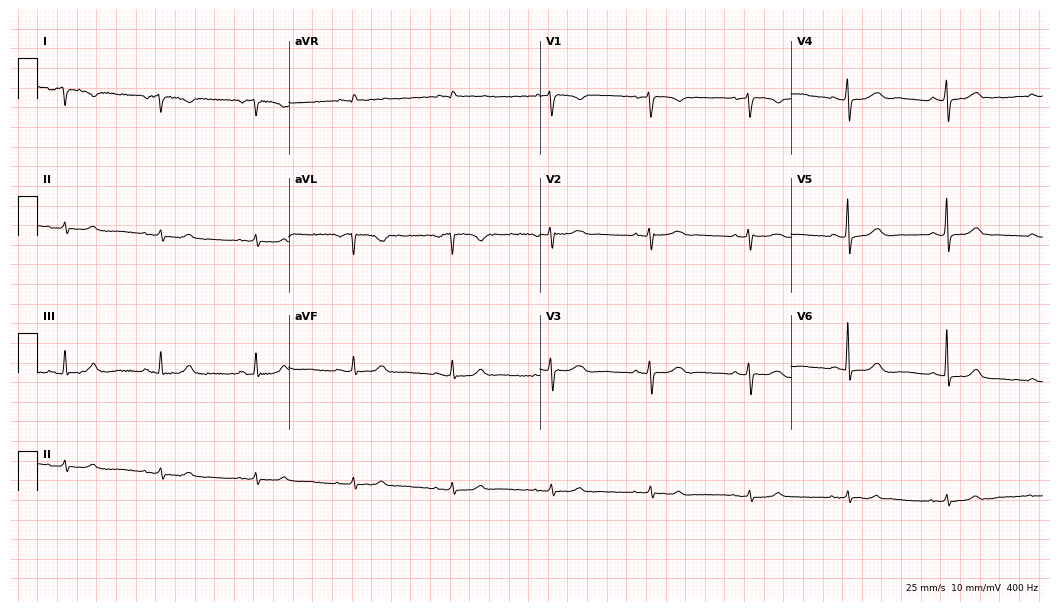
ECG — a female, 61 years old. Screened for six findings — first-degree AV block, right bundle branch block (RBBB), left bundle branch block (LBBB), sinus bradycardia, atrial fibrillation (AF), sinus tachycardia — none is recorded.